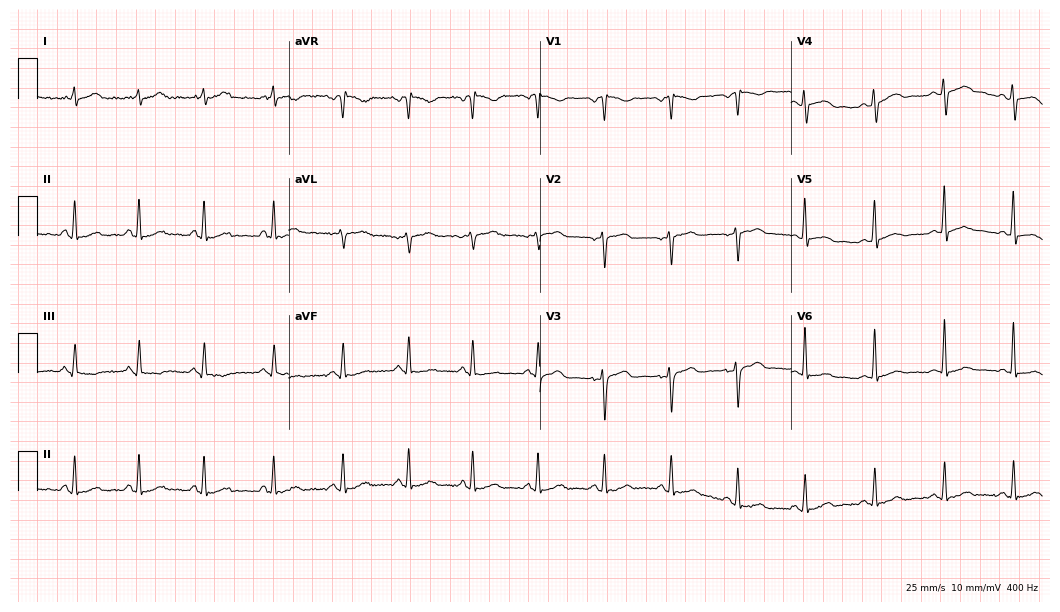
Standard 12-lead ECG recorded from a 41-year-old female patient (10.2-second recording at 400 Hz). None of these six findings is recorded: first-degree AV block, right bundle branch block, left bundle branch block, sinus bradycardia, atrial fibrillation, sinus tachycardia.